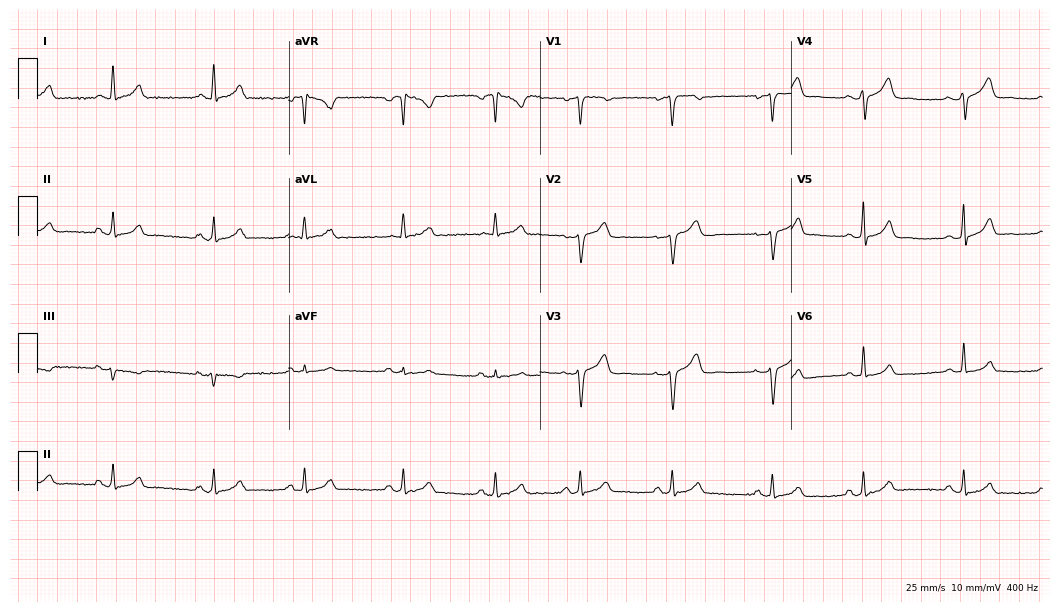
Standard 12-lead ECG recorded from a woman, 34 years old (10.2-second recording at 400 Hz). Read as a normal ECG.